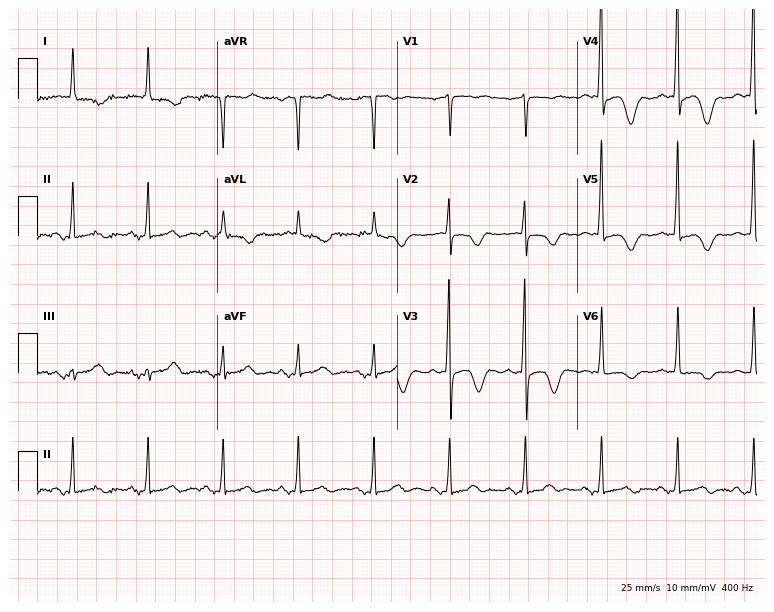
Electrocardiogram (7.3-second recording at 400 Hz), an 84-year-old female. Of the six screened findings (first-degree AV block, right bundle branch block, left bundle branch block, sinus bradycardia, atrial fibrillation, sinus tachycardia), none is recorded.